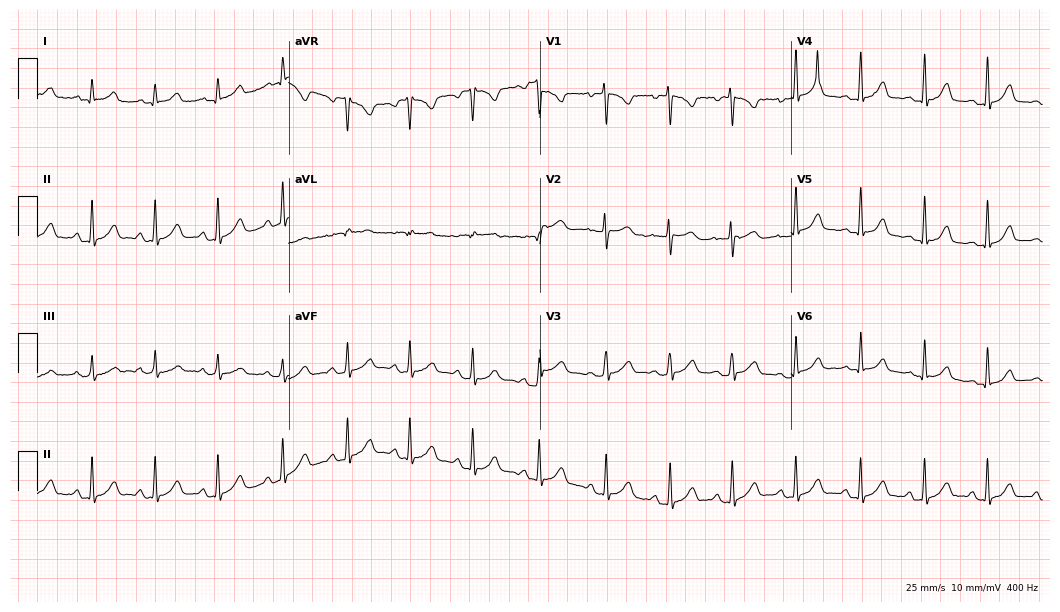
12-lead ECG from a female, 25 years old. Recorded interpretation: within normal limits.